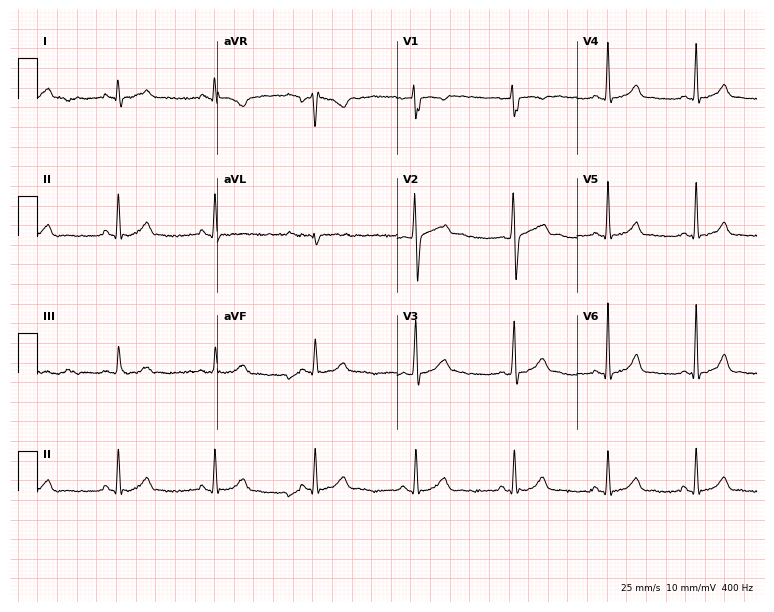
12-lead ECG from a male patient, 21 years old. Recorded interpretation: within normal limits.